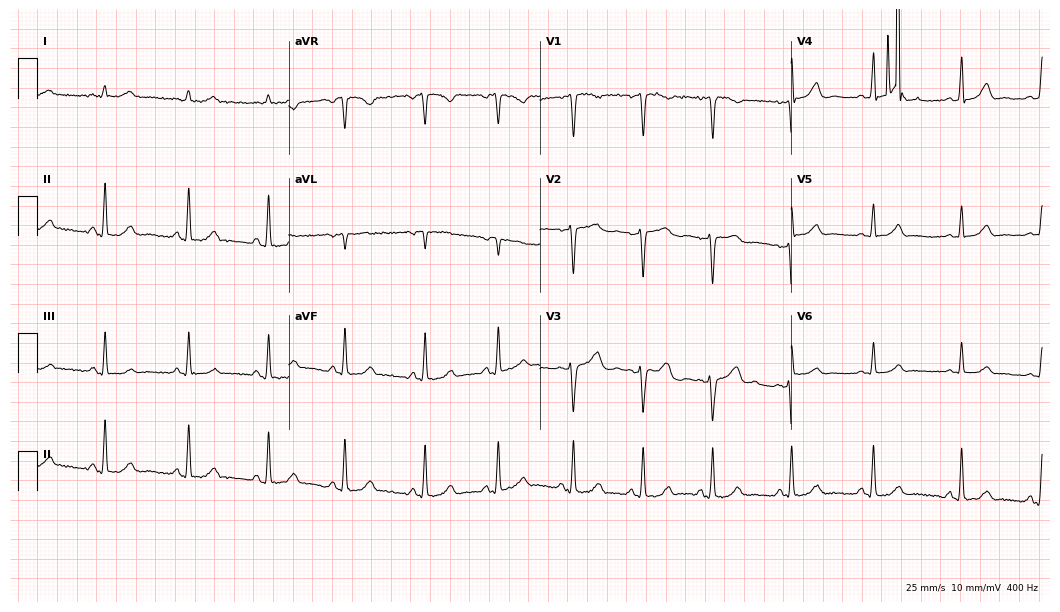
12-lead ECG from a 36-year-old female patient (10.2-second recording at 400 Hz). Recorded interpretation: within normal limits.